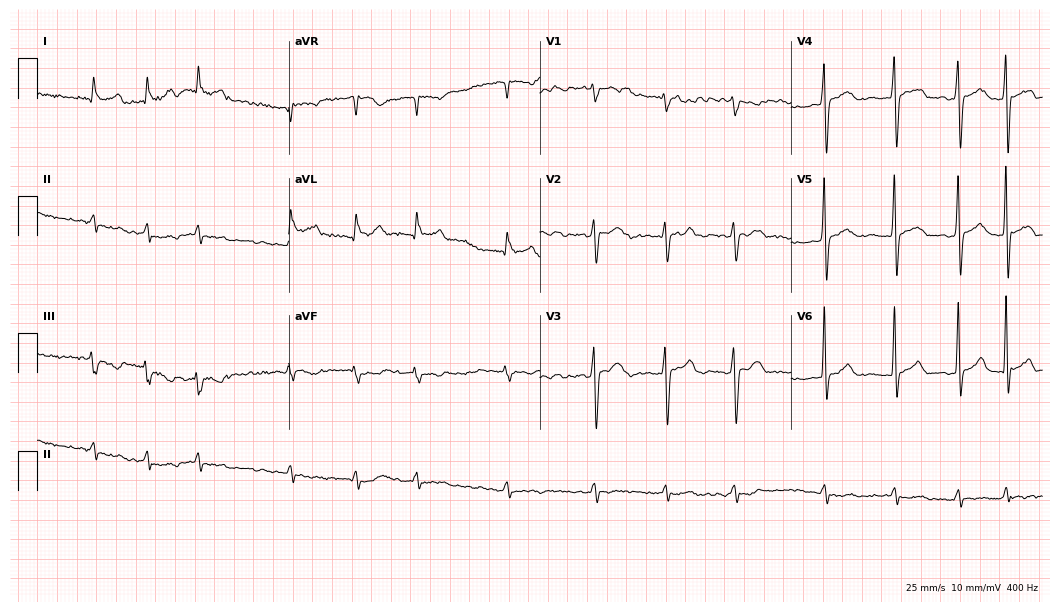
12-lead ECG from a 68-year-old male. No first-degree AV block, right bundle branch block, left bundle branch block, sinus bradycardia, atrial fibrillation or sinus tachycardia recorded for this tracing.